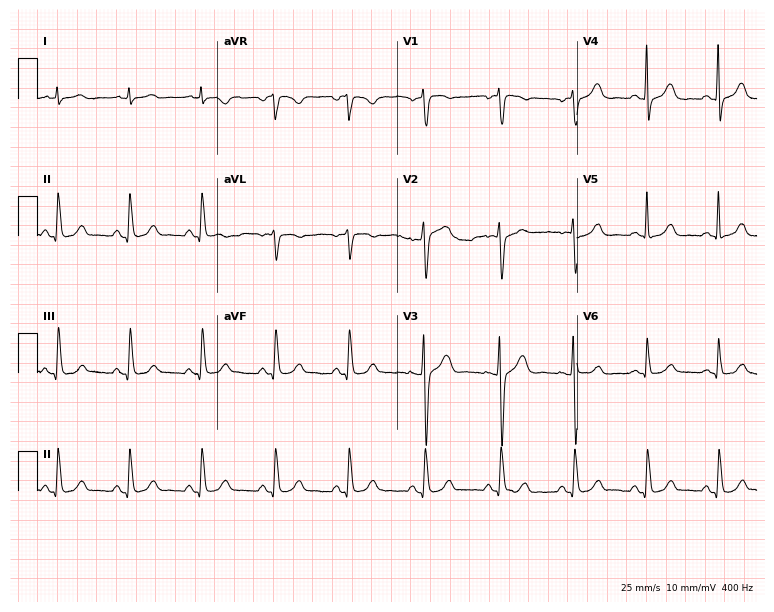
Standard 12-lead ECG recorded from a female patient, 44 years old. Read as a normal ECG.